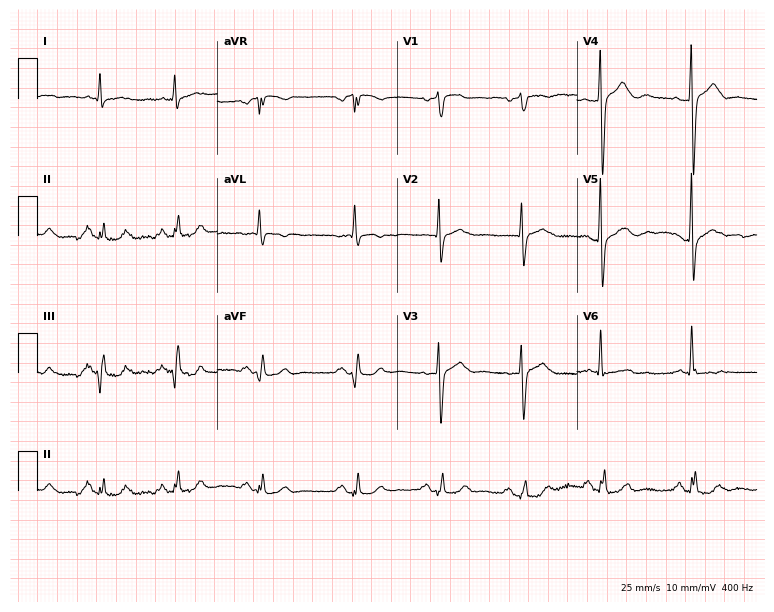
12-lead ECG from a female, 77 years old. Screened for six findings — first-degree AV block, right bundle branch block, left bundle branch block, sinus bradycardia, atrial fibrillation, sinus tachycardia — none is recorded. Findings outside these six are not listed.